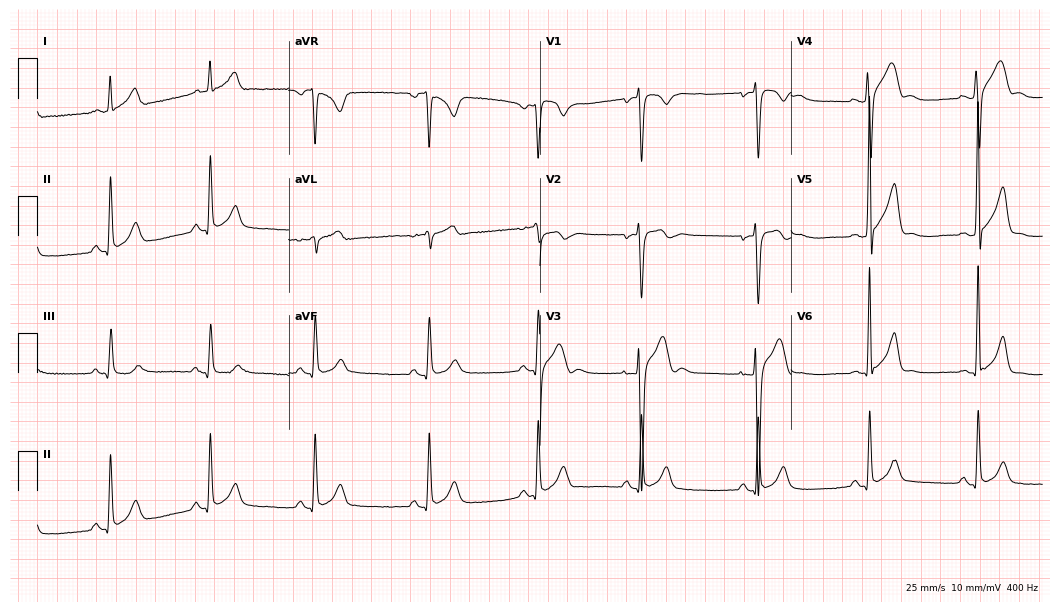
ECG — an 18-year-old male. Screened for six findings — first-degree AV block, right bundle branch block (RBBB), left bundle branch block (LBBB), sinus bradycardia, atrial fibrillation (AF), sinus tachycardia — none is recorded.